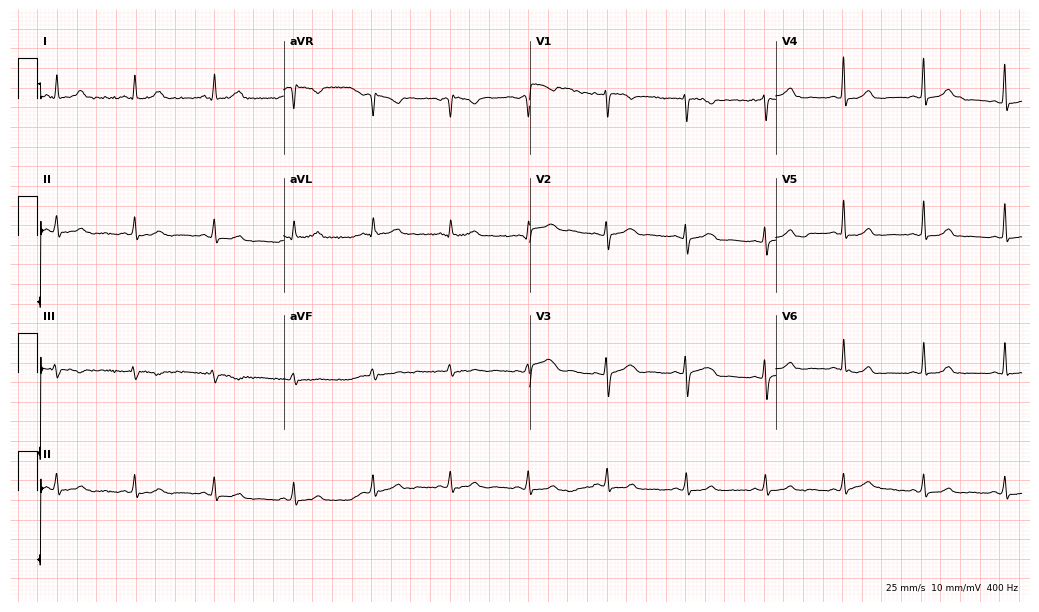
ECG — a 36-year-old female. Labelled as a normal ECG.